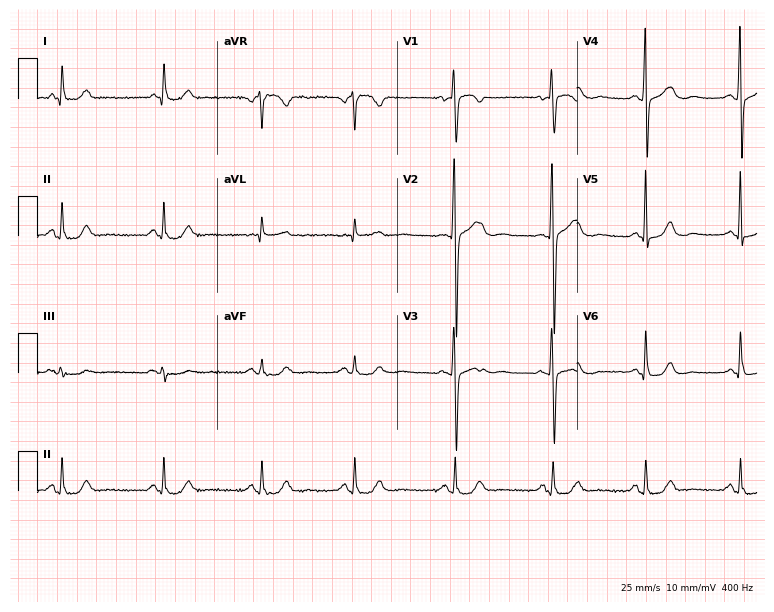
Resting 12-lead electrocardiogram (7.3-second recording at 400 Hz). Patient: a female, 77 years old. Read as a normal ECG.